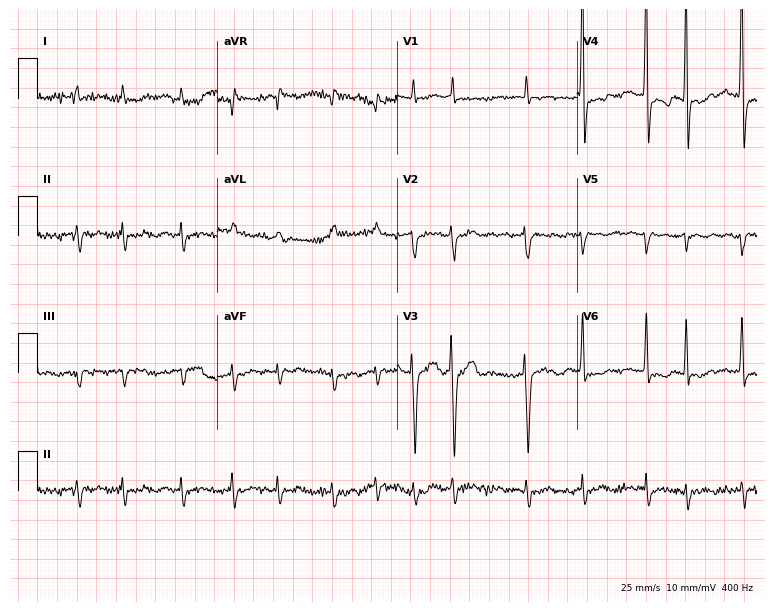
ECG — a male, 85 years old. Screened for six findings — first-degree AV block, right bundle branch block, left bundle branch block, sinus bradycardia, atrial fibrillation, sinus tachycardia — none is recorded.